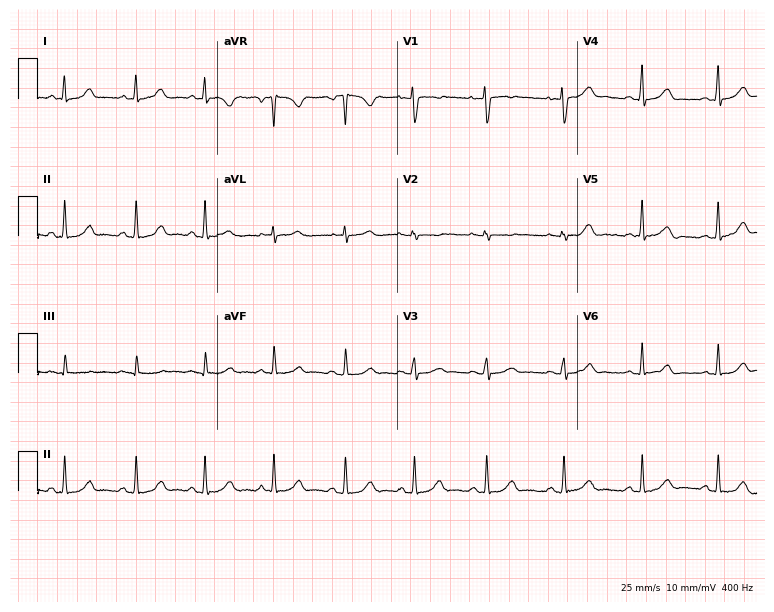
Electrocardiogram (7.3-second recording at 400 Hz), a 35-year-old female. Overall reading on record: normal ECG.